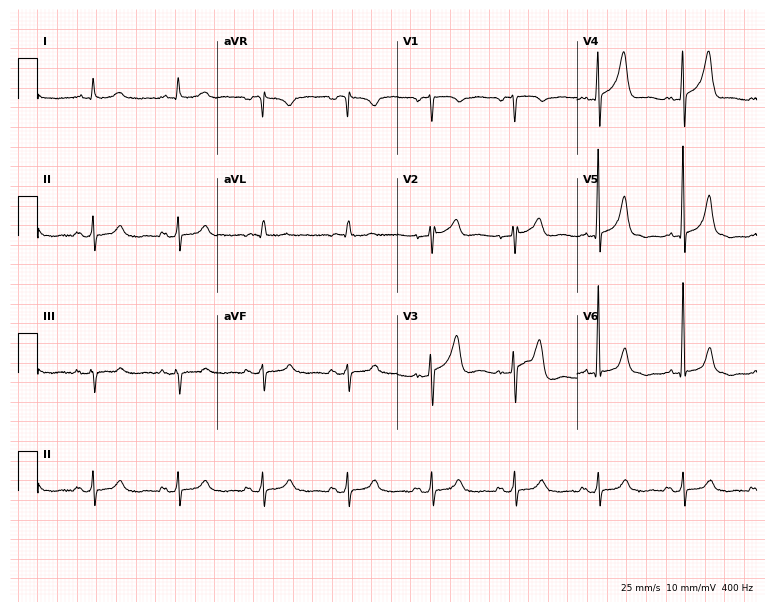
ECG (7.3-second recording at 400 Hz) — a 66-year-old male patient. Screened for six findings — first-degree AV block, right bundle branch block (RBBB), left bundle branch block (LBBB), sinus bradycardia, atrial fibrillation (AF), sinus tachycardia — none is recorded.